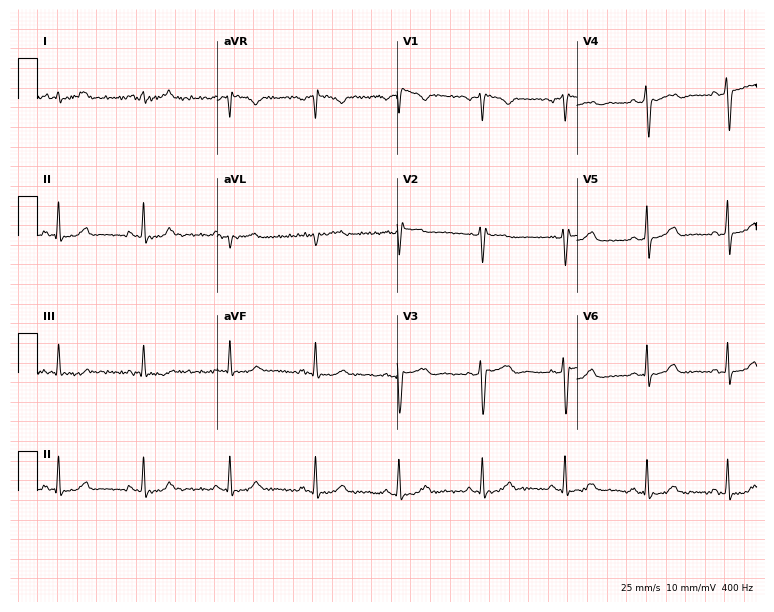
Electrocardiogram, a 48-year-old female patient. Of the six screened findings (first-degree AV block, right bundle branch block, left bundle branch block, sinus bradycardia, atrial fibrillation, sinus tachycardia), none is recorded. Findings outside these six are not listed.